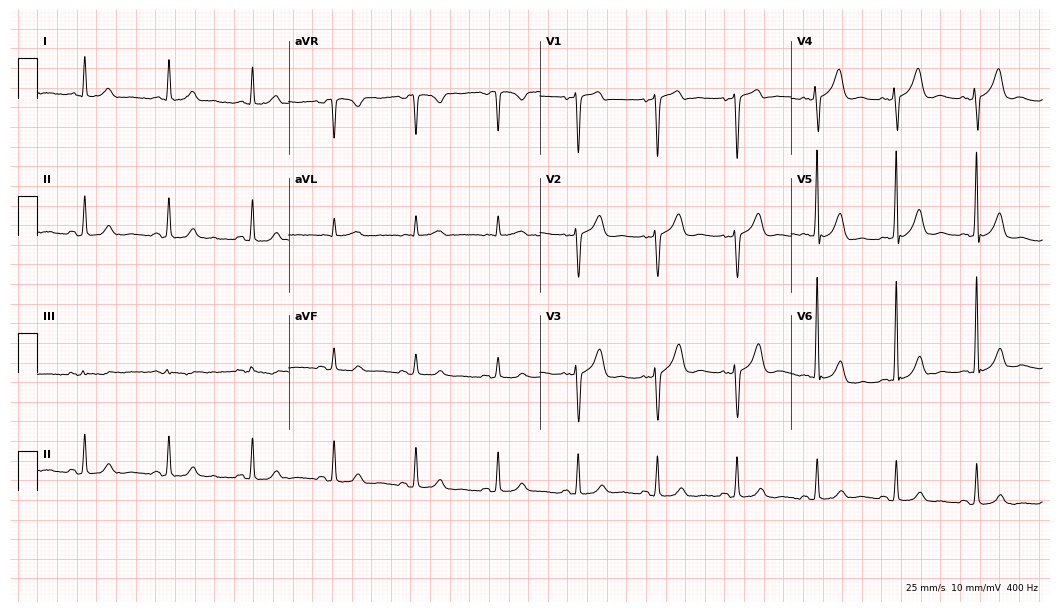
Standard 12-lead ECG recorded from a 64-year-old male. Read as a normal ECG.